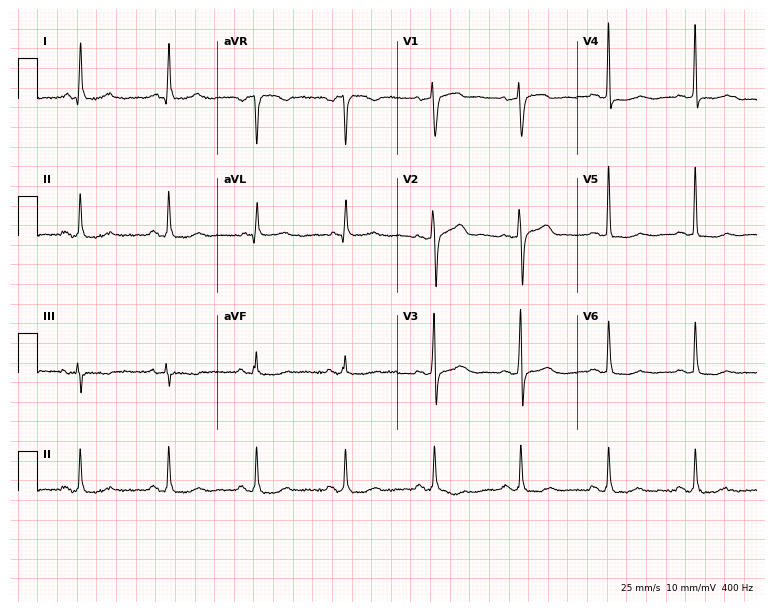
Resting 12-lead electrocardiogram (7.3-second recording at 400 Hz). Patient: a male, 76 years old. None of these six findings is recorded: first-degree AV block, right bundle branch block (RBBB), left bundle branch block (LBBB), sinus bradycardia, atrial fibrillation (AF), sinus tachycardia. Only these six findings were labelled.